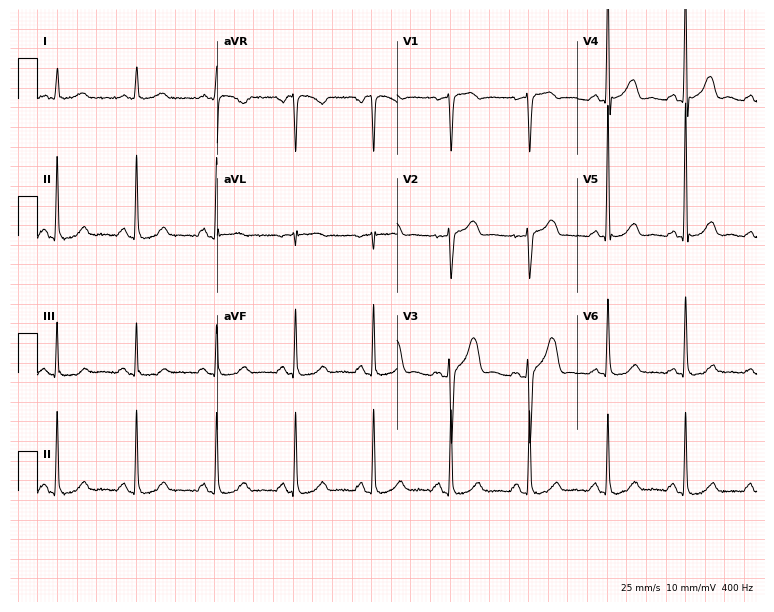
Standard 12-lead ECG recorded from a 57-year-old female. Read as a normal ECG.